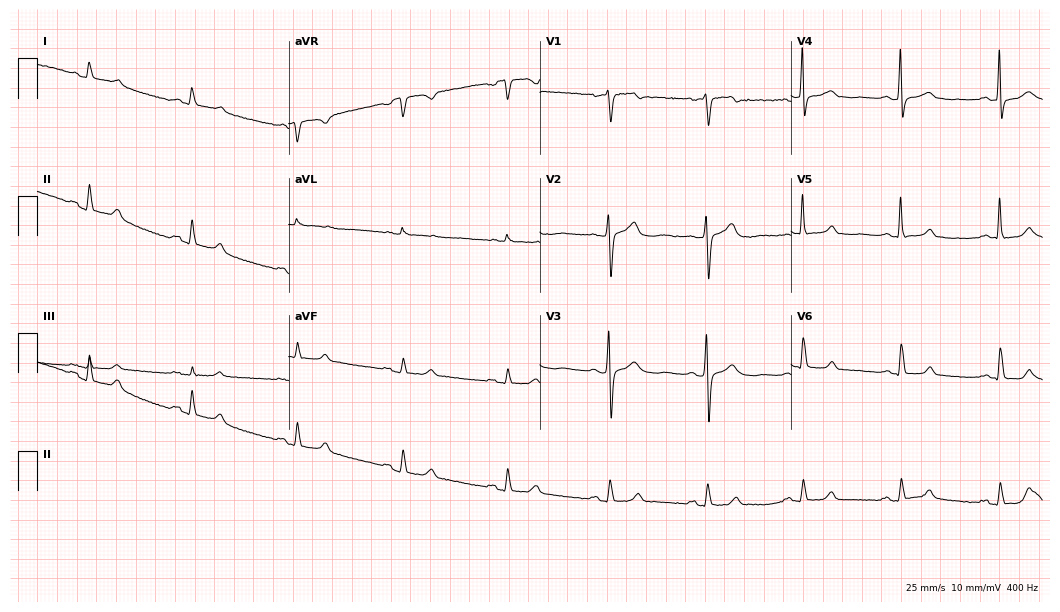
Standard 12-lead ECG recorded from a 50-year-old woman (10.2-second recording at 400 Hz). Read as a normal ECG.